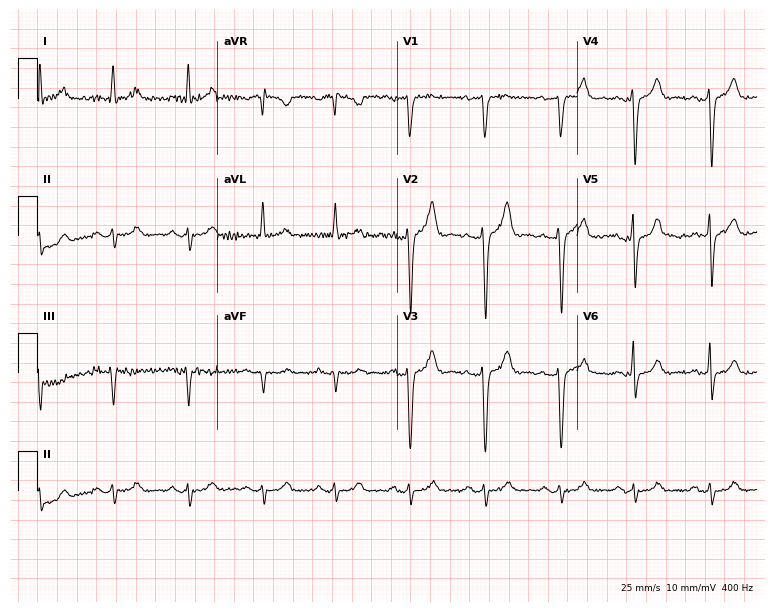
12-lead ECG from a 70-year-old male (7.3-second recording at 400 Hz). No first-degree AV block, right bundle branch block (RBBB), left bundle branch block (LBBB), sinus bradycardia, atrial fibrillation (AF) or sinus tachycardia recorded for this tracing.